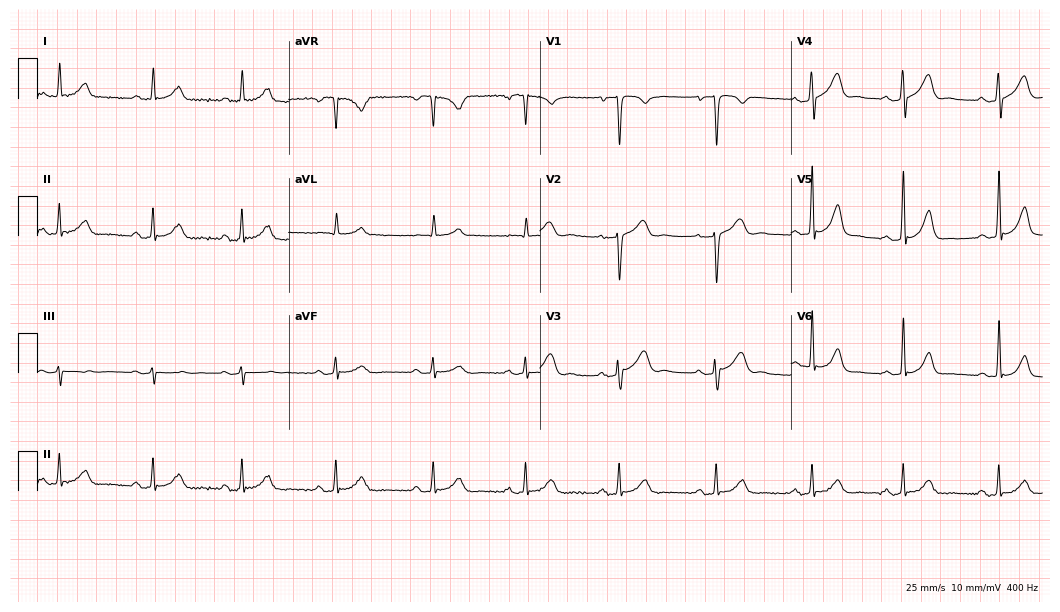
12-lead ECG from a man, 31 years old. Recorded interpretation: within normal limits.